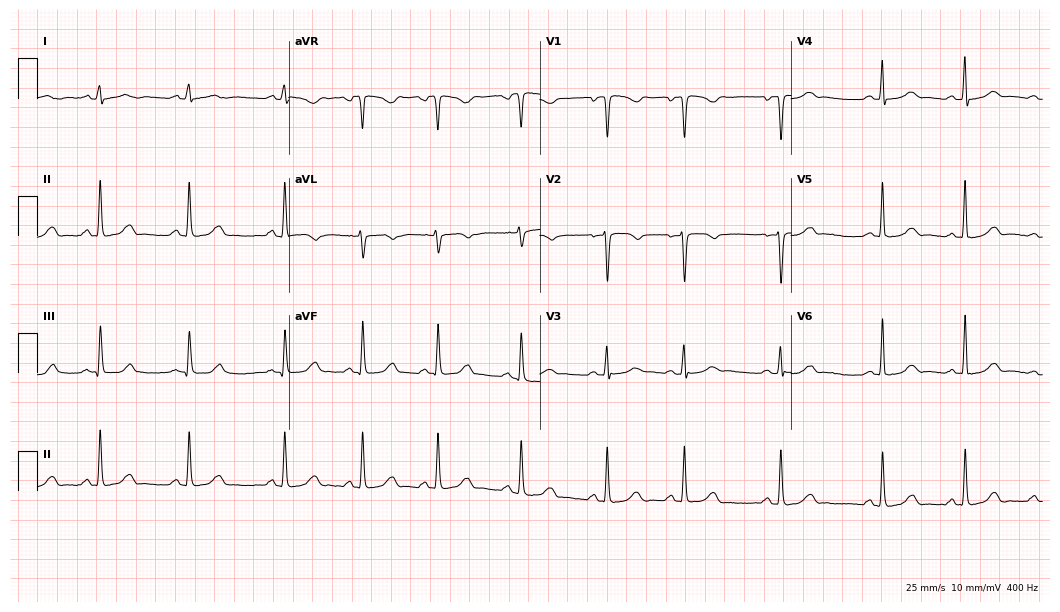
Standard 12-lead ECG recorded from a female, 25 years old. Read as a normal ECG.